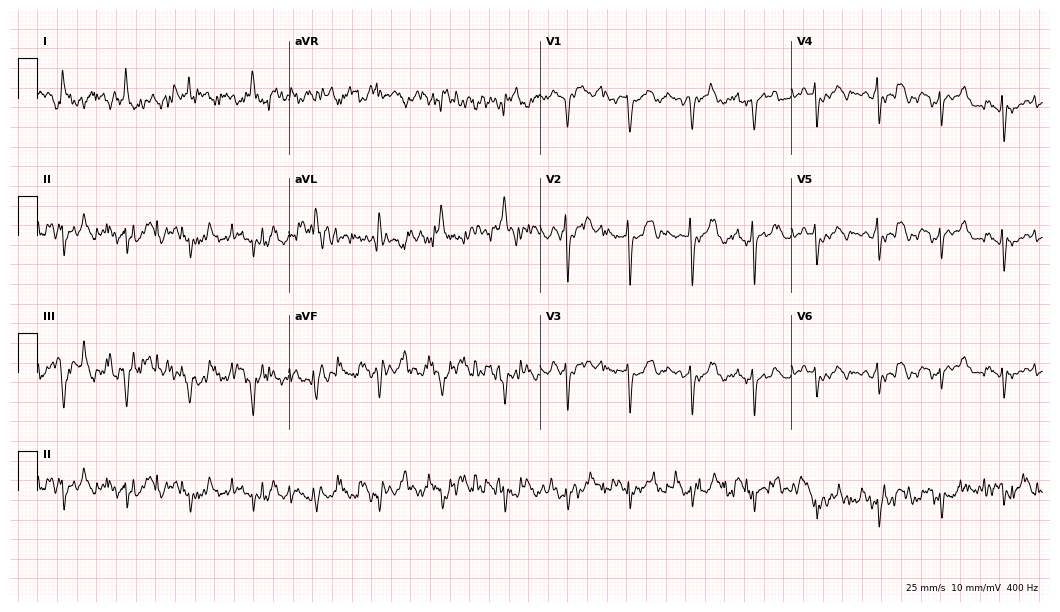
ECG (10.2-second recording at 400 Hz) — a woman, 82 years old. Screened for six findings — first-degree AV block, right bundle branch block, left bundle branch block, sinus bradycardia, atrial fibrillation, sinus tachycardia — none is recorded. Only these six findings were labelled.